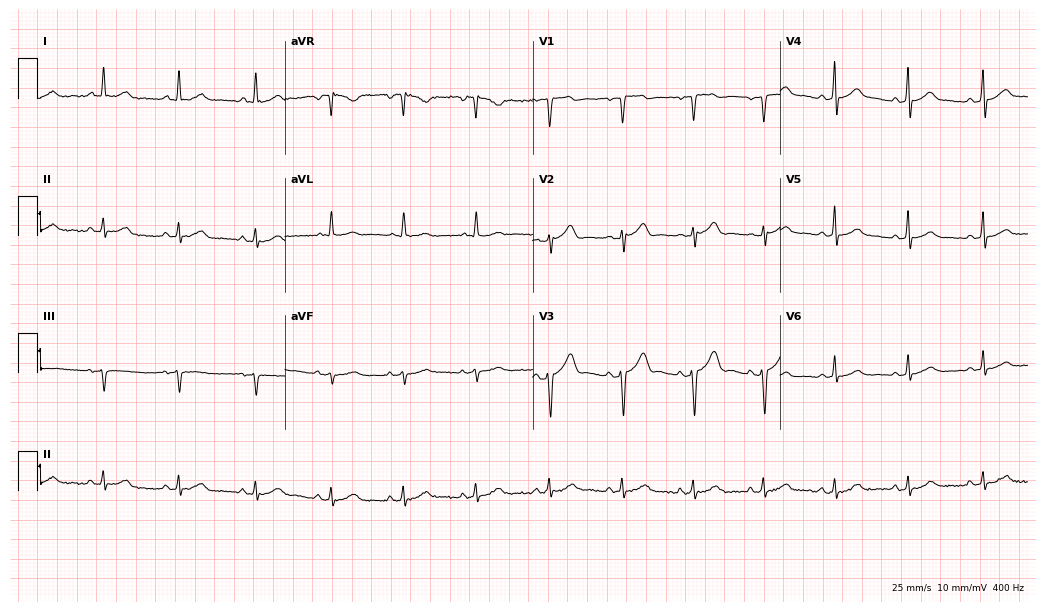
12-lead ECG from a 58-year-old man (10.1-second recording at 400 Hz). Recorded interpretation: within normal limits.